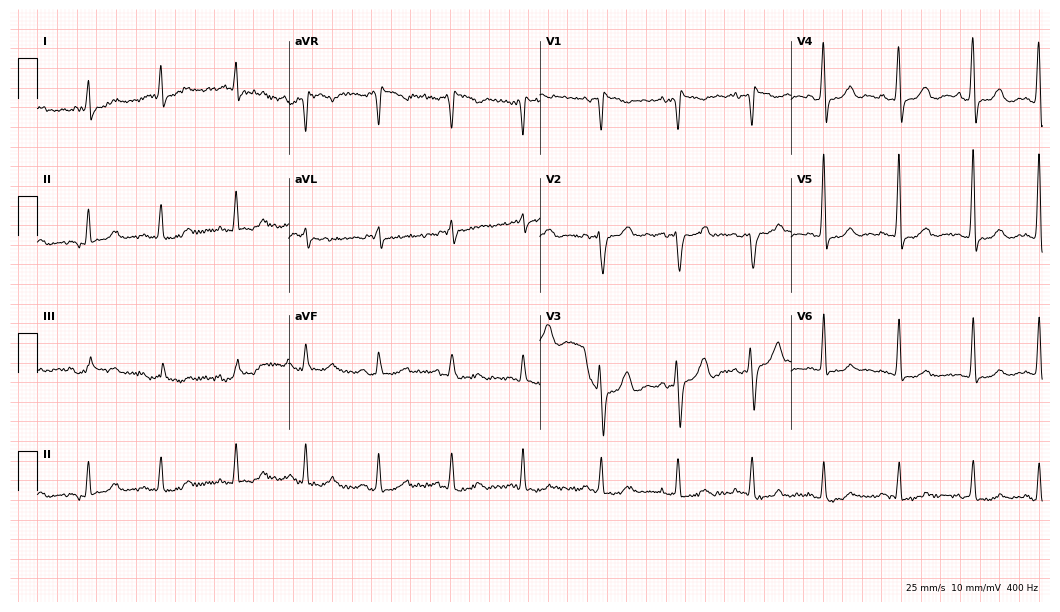
ECG — a man, 83 years old. Findings include right bundle branch block.